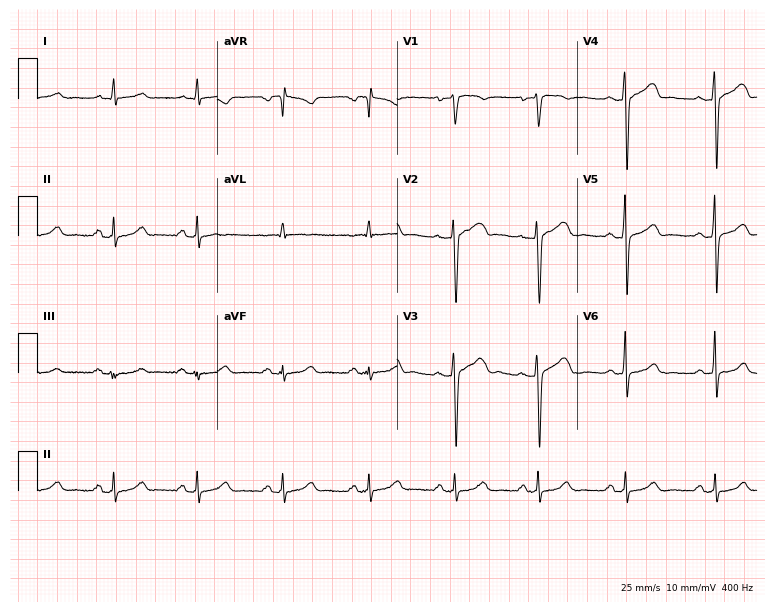
Standard 12-lead ECG recorded from a 51-year-old female patient (7.3-second recording at 400 Hz). Read as a normal ECG.